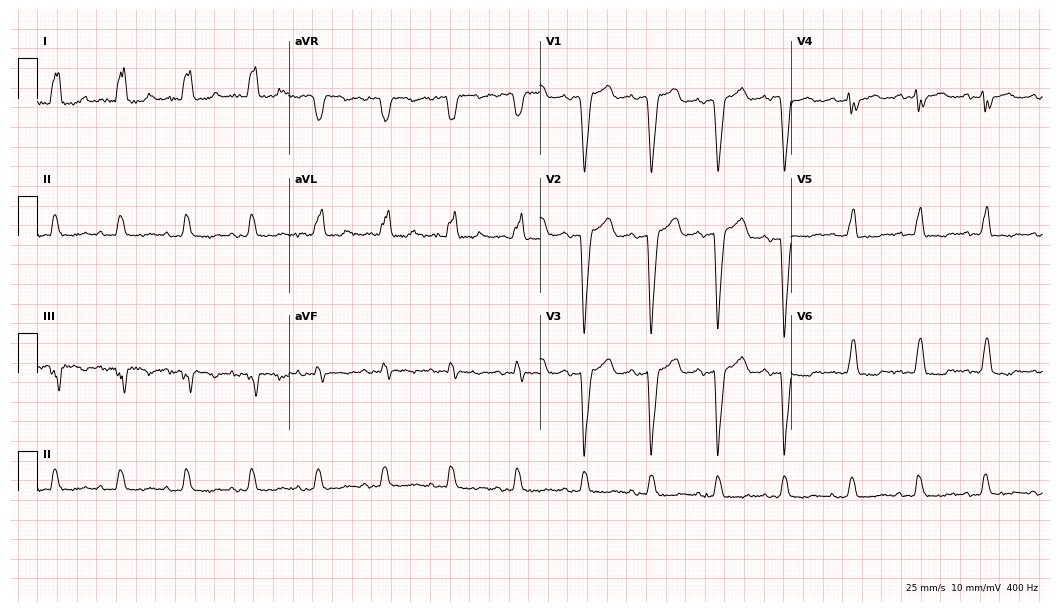
12-lead ECG (10.2-second recording at 400 Hz) from a 75-year-old female patient. Screened for six findings — first-degree AV block, right bundle branch block (RBBB), left bundle branch block (LBBB), sinus bradycardia, atrial fibrillation (AF), sinus tachycardia — none is recorded. Findings outside these six are not listed.